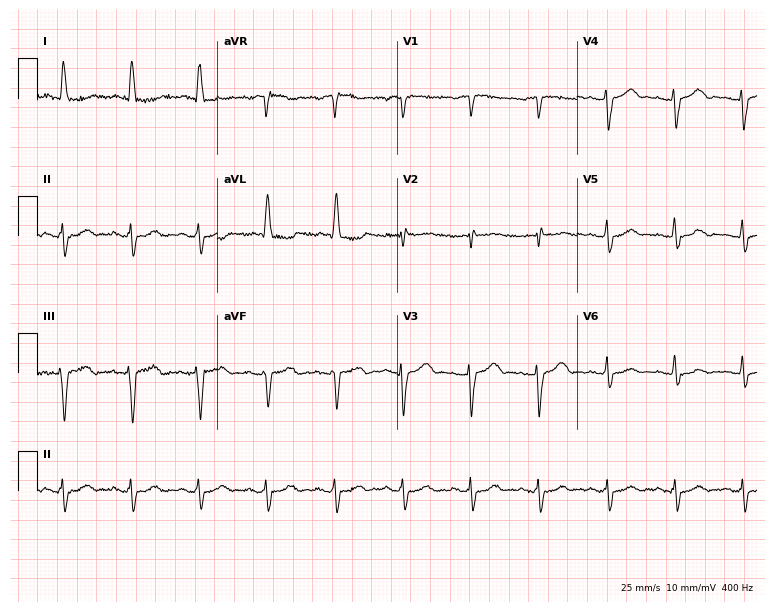
Standard 12-lead ECG recorded from an 84-year-old female. None of these six findings is recorded: first-degree AV block, right bundle branch block (RBBB), left bundle branch block (LBBB), sinus bradycardia, atrial fibrillation (AF), sinus tachycardia.